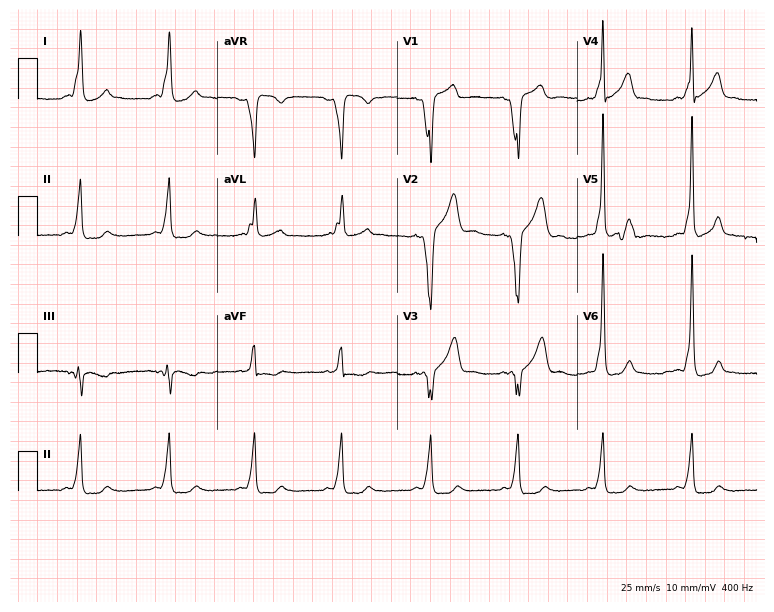
Electrocardiogram, a 33-year-old man. Of the six screened findings (first-degree AV block, right bundle branch block (RBBB), left bundle branch block (LBBB), sinus bradycardia, atrial fibrillation (AF), sinus tachycardia), none is recorded.